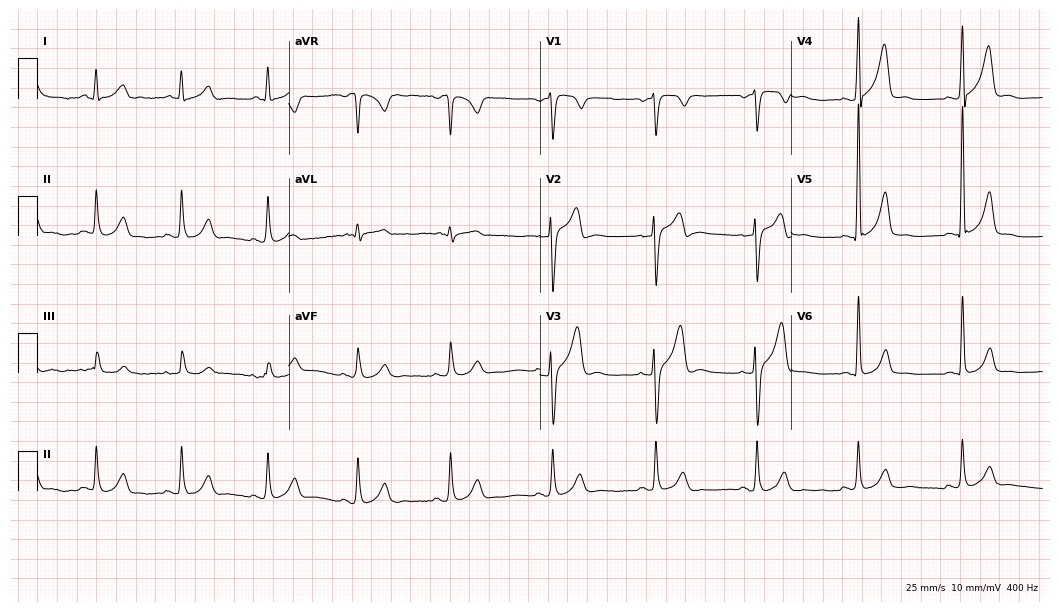
12-lead ECG (10.2-second recording at 400 Hz) from a male patient, 52 years old. Labelled as a normal ECG.